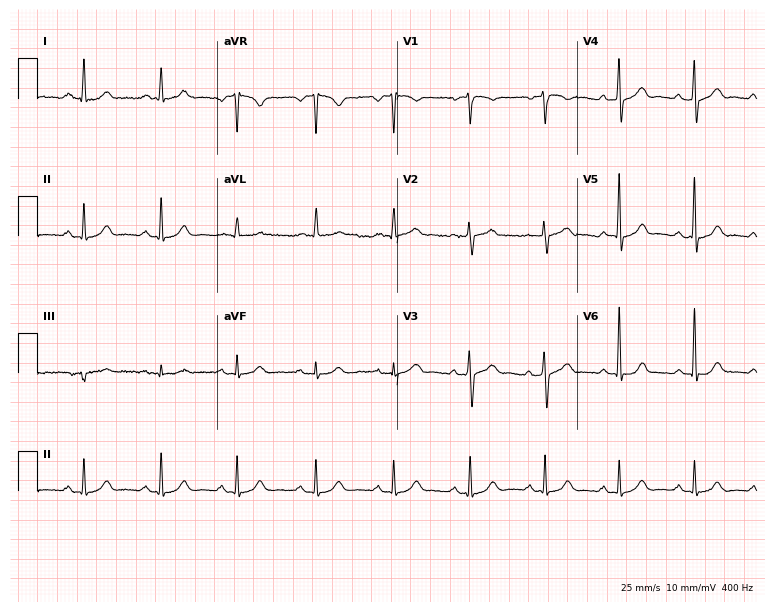
Electrocardiogram, a female, 49 years old. Overall reading on record: normal ECG.